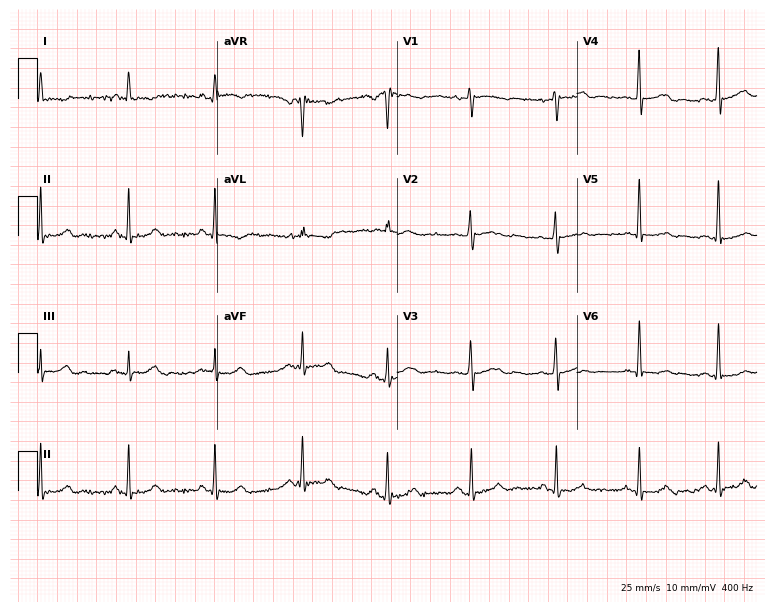
12-lead ECG from a 73-year-old female. Labelled as a normal ECG.